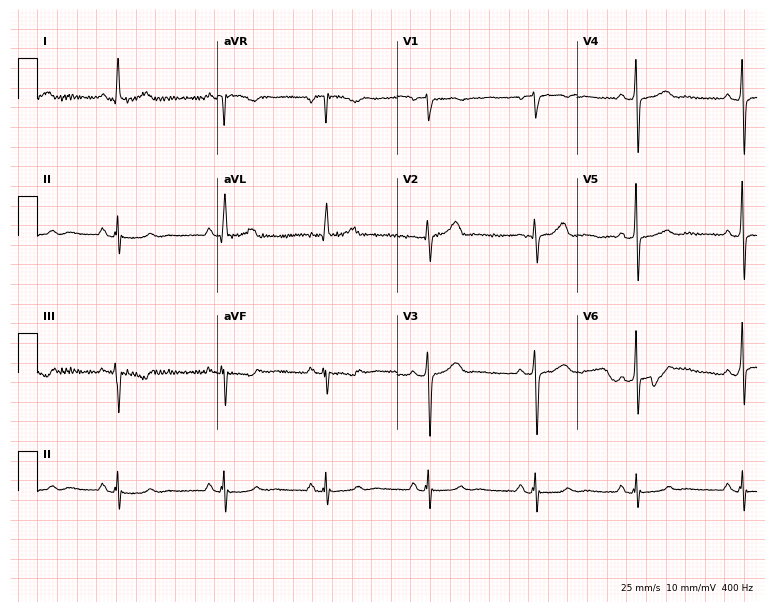
12-lead ECG from a 58-year-old female patient (7.3-second recording at 400 Hz). No first-degree AV block, right bundle branch block, left bundle branch block, sinus bradycardia, atrial fibrillation or sinus tachycardia recorded for this tracing. Only these six findings were labelled.